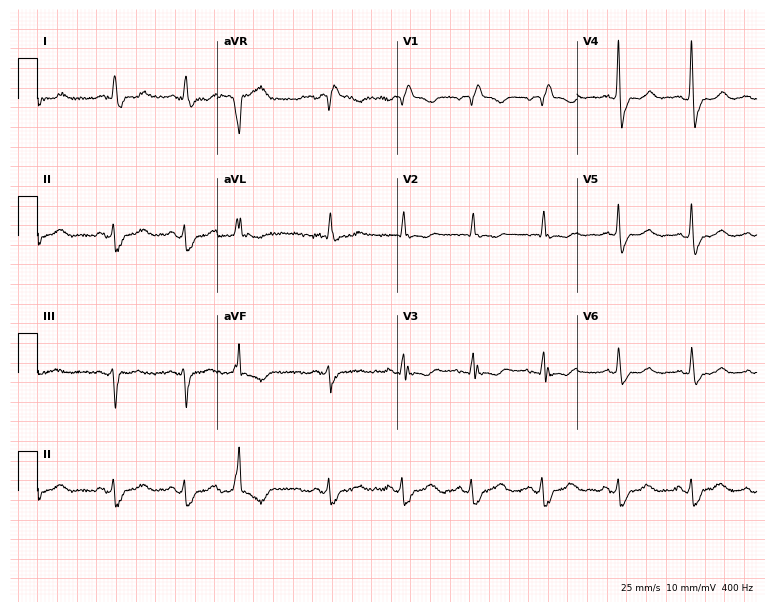
ECG — an 83-year-old woman. Findings include right bundle branch block.